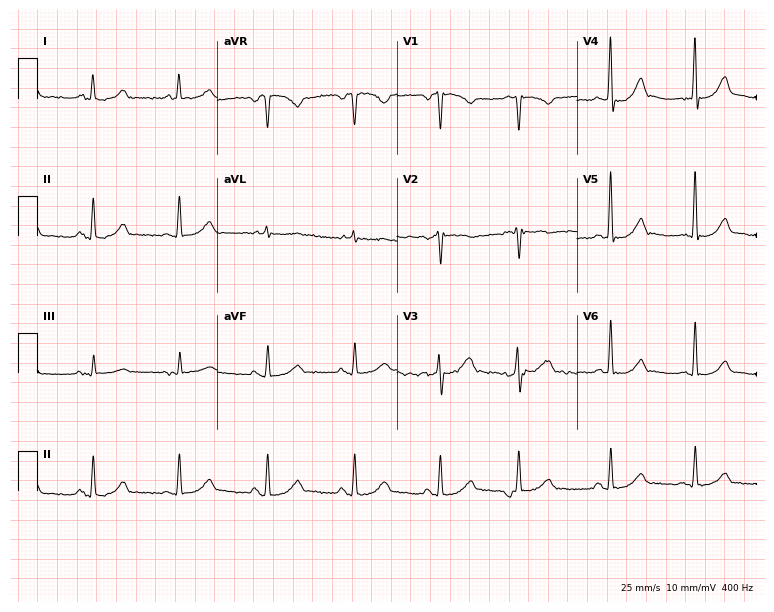
12-lead ECG (7.3-second recording at 400 Hz) from a 66-year-old man. Screened for six findings — first-degree AV block, right bundle branch block, left bundle branch block, sinus bradycardia, atrial fibrillation, sinus tachycardia — none is recorded.